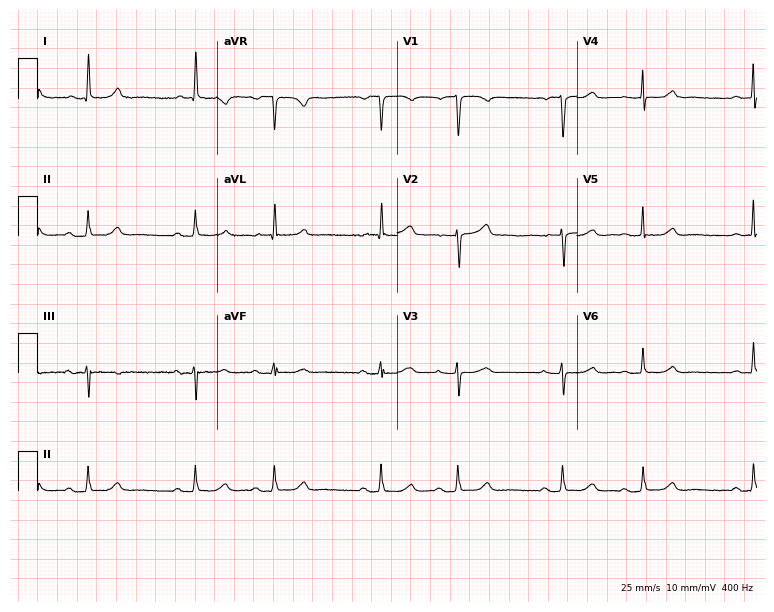
ECG (7.3-second recording at 400 Hz) — a woman, 84 years old. Screened for six findings — first-degree AV block, right bundle branch block, left bundle branch block, sinus bradycardia, atrial fibrillation, sinus tachycardia — none is recorded.